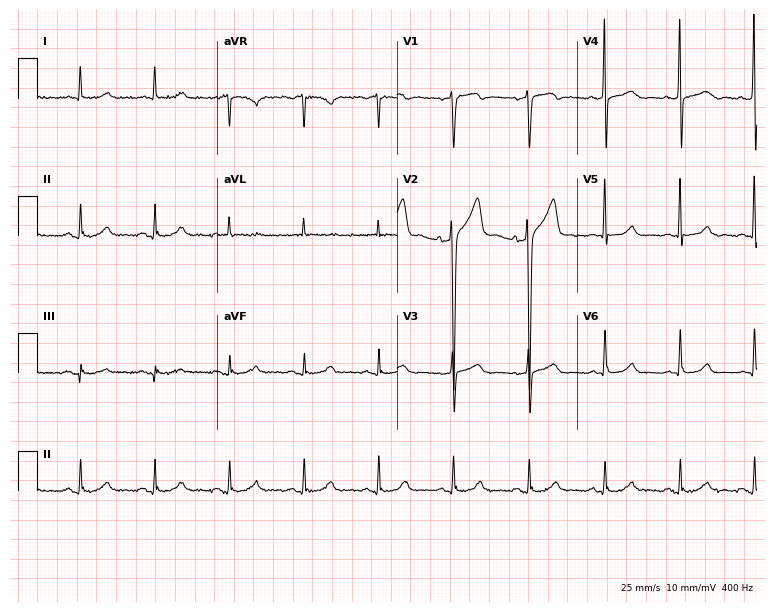
12-lead ECG from a 60-year-old man. Recorded interpretation: within normal limits.